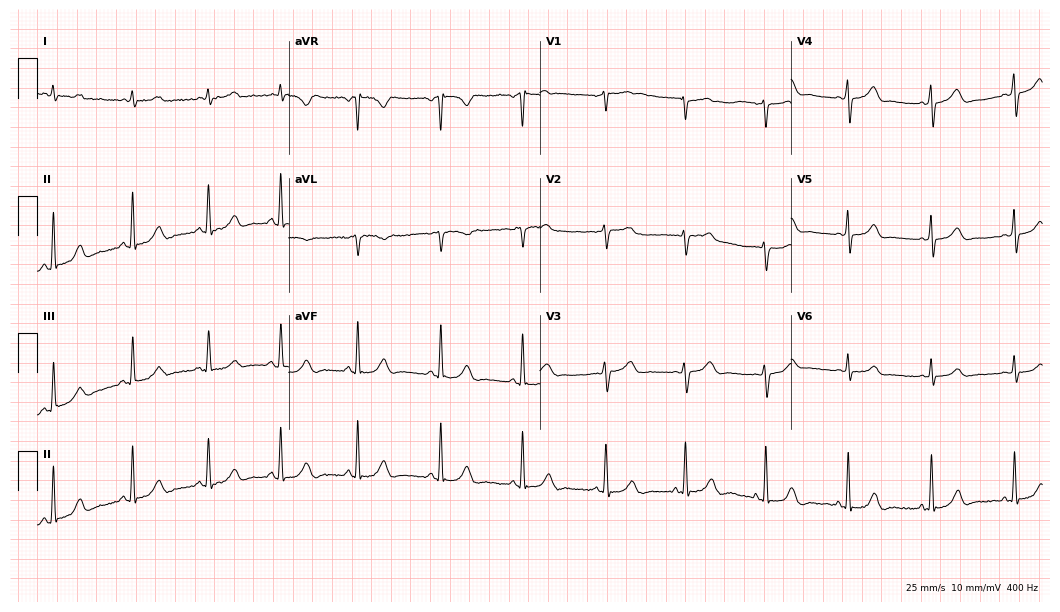
ECG (10.2-second recording at 400 Hz) — a 45-year-old female. Labelled as a normal ECG.